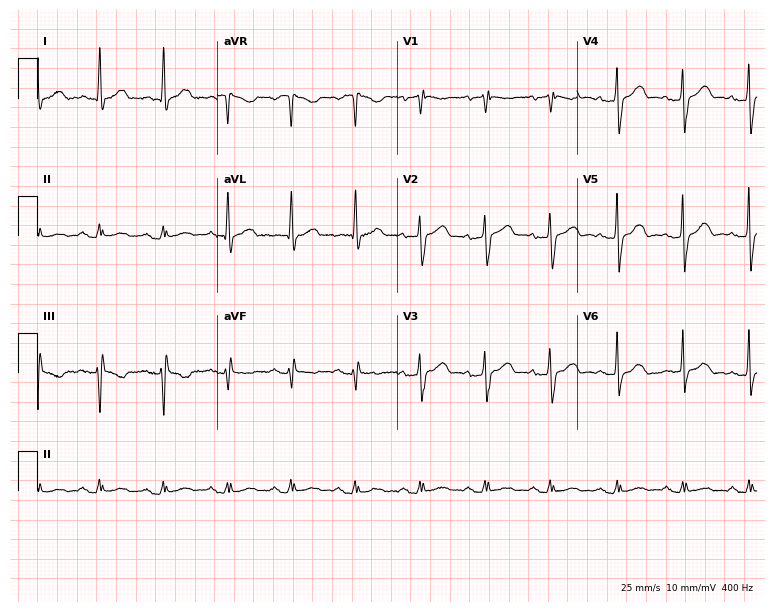
12-lead ECG from a 70-year-old man (7.3-second recording at 400 Hz). Recorded interpretation: within normal limits.